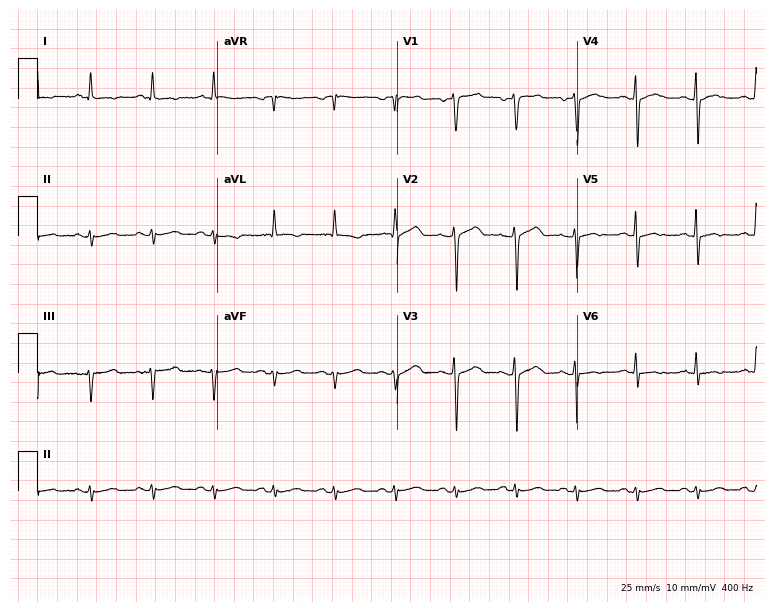
12-lead ECG from a male, 83 years old. No first-degree AV block, right bundle branch block (RBBB), left bundle branch block (LBBB), sinus bradycardia, atrial fibrillation (AF) or sinus tachycardia recorded for this tracing. Only these six findings were labelled.